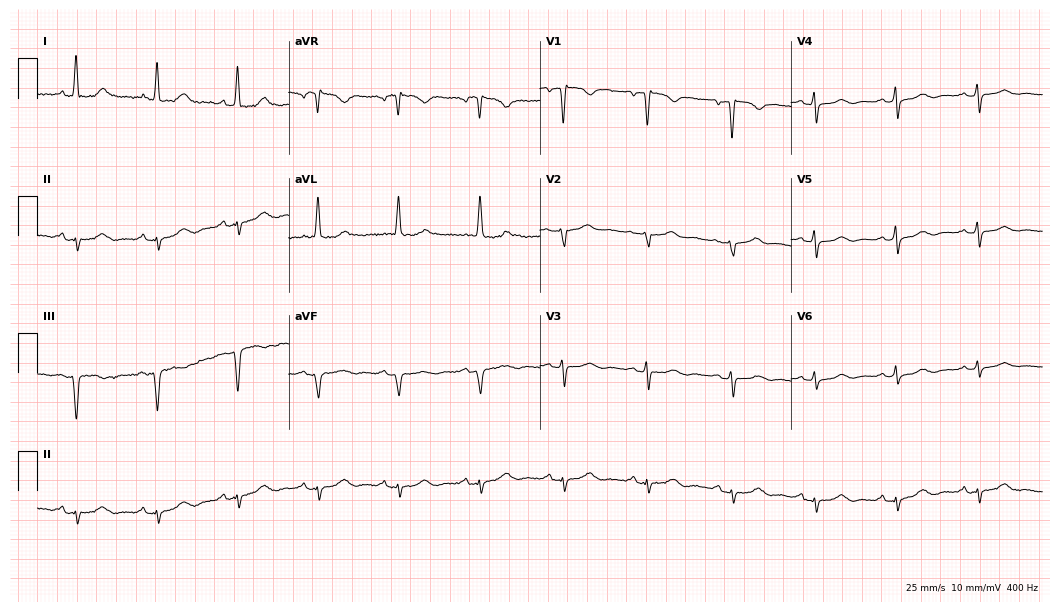
12-lead ECG from a female, 62 years old. No first-degree AV block, right bundle branch block (RBBB), left bundle branch block (LBBB), sinus bradycardia, atrial fibrillation (AF) or sinus tachycardia recorded for this tracing. Only these six findings were labelled.